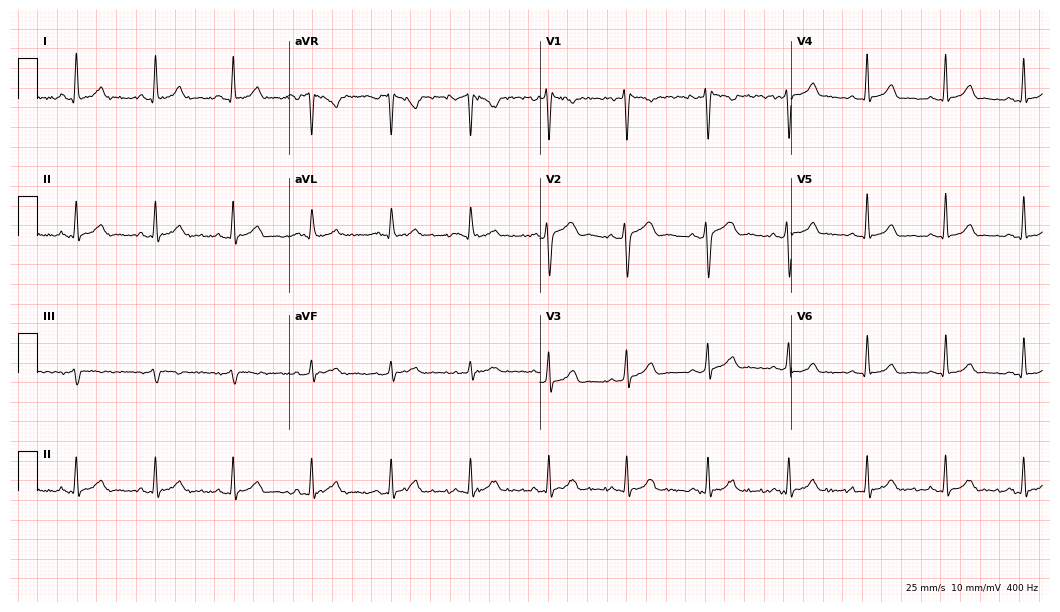
ECG — a 37-year-old female patient. Labelled as a normal ECG.